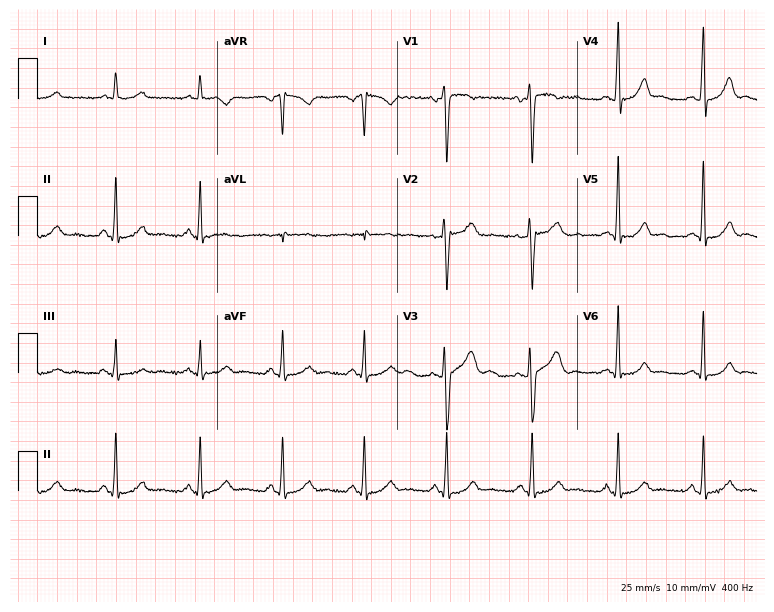
Standard 12-lead ECG recorded from a female patient, 22 years old. None of these six findings is recorded: first-degree AV block, right bundle branch block (RBBB), left bundle branch block (LBBB), sinus bradycardia, atrial fibrillation (AF), sinus tachycardia.